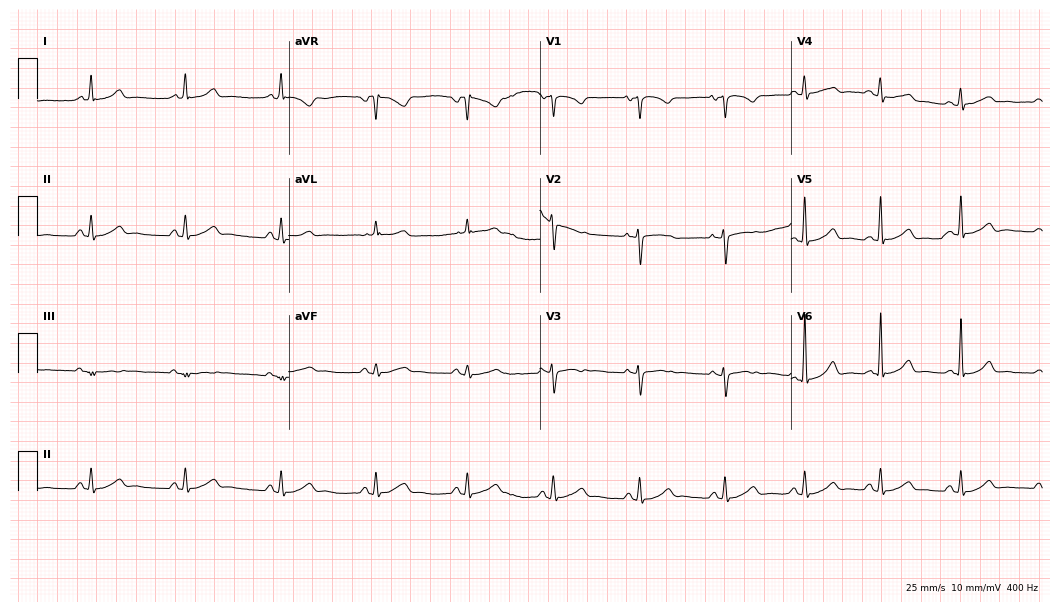
ECG — a woman, 27 years old. Labelled as a normal ECG.